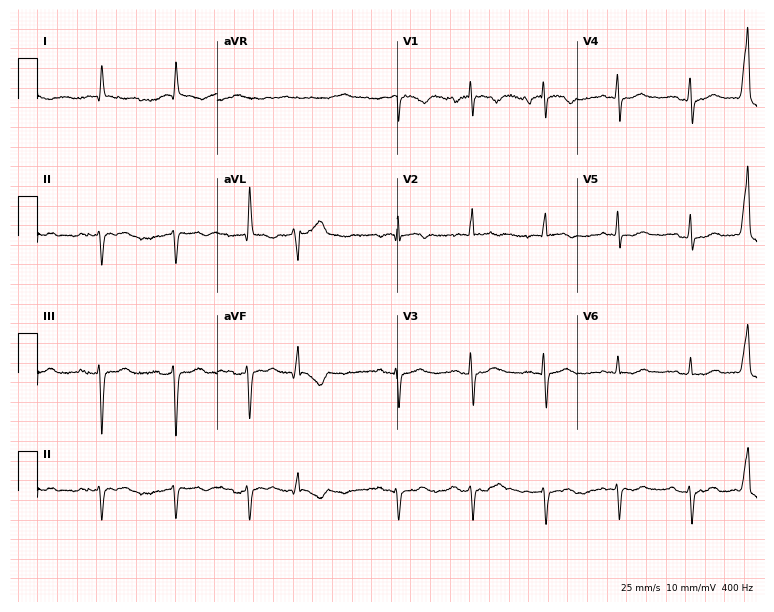
12-lead ECG from a female, 78 years old (7.3-second recording at 400 Hz). No first-degree AV block, right bundle branch block (RBBB), left bundle branch block (LBBB), sinus bradycardia, atrial fibrillation (AF) or sinus tachycardia recorded for this tracing. Findings outside these six are not listed.